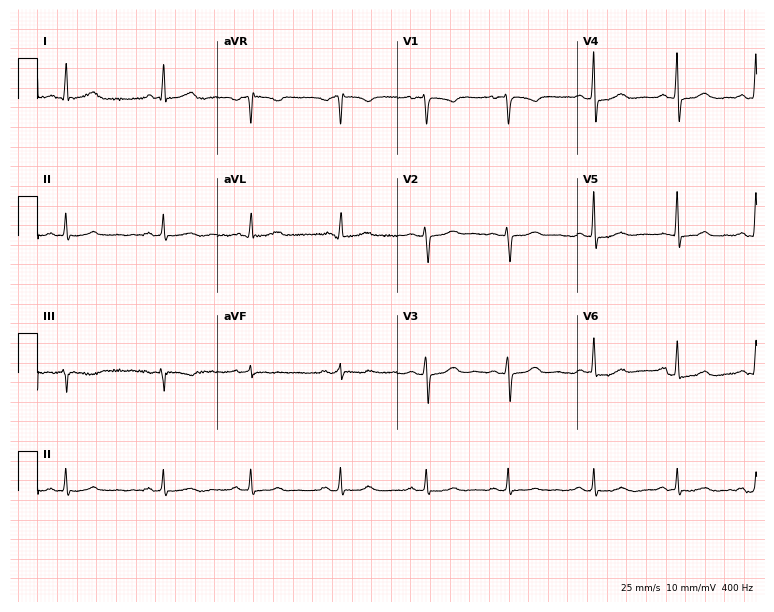
Electrocardiogram, a 48-year-old female patient. Of the six screened findings (first-degree AV block, right bundle branch block, left bundle branch block, sinus bradycardia, atrial fibrillation, sinus tachycardia), none is recorded. Findings outside these six are not listed.